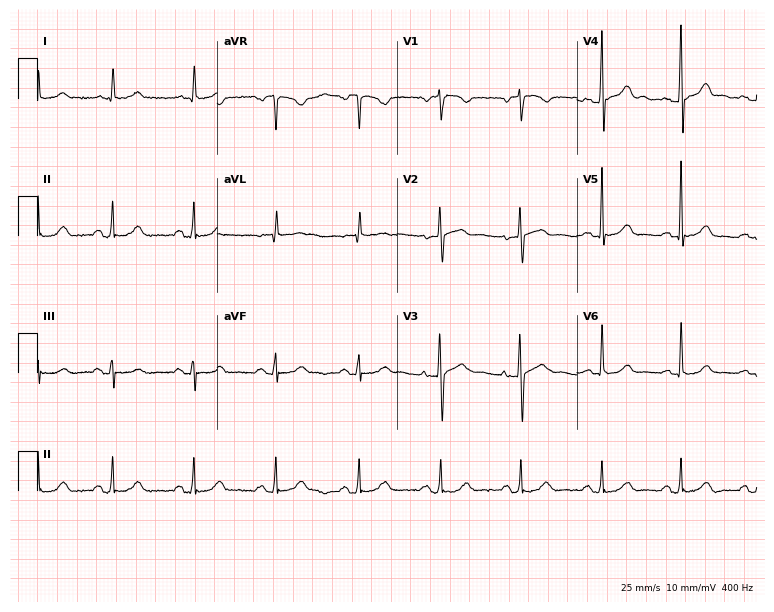
12-lead ECG (7.3-second recording at 400 Hz) from a female patient, 74 years old. Screened for six findings — first-degree AV block, right bundle branch block, left bundle branch block, sinus bradycardia, atrial fibrillation, sinus tachycardia — none is recorded.